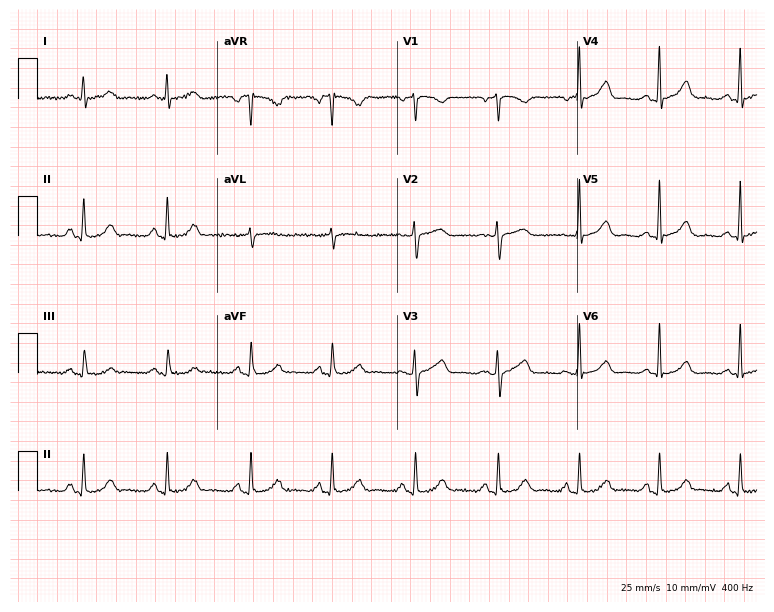
12-lead ECG from a 50-year-old woman (7.3-second recording at 400 Hz). Recorded interpretation: within normal limits.